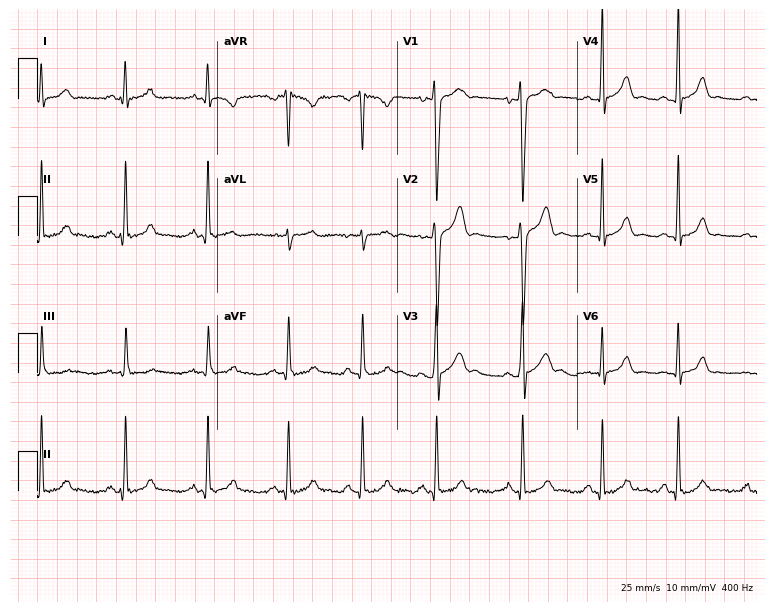
Electrocardiogram, an 18-year-old male. Overall reading on record: normal ECG.